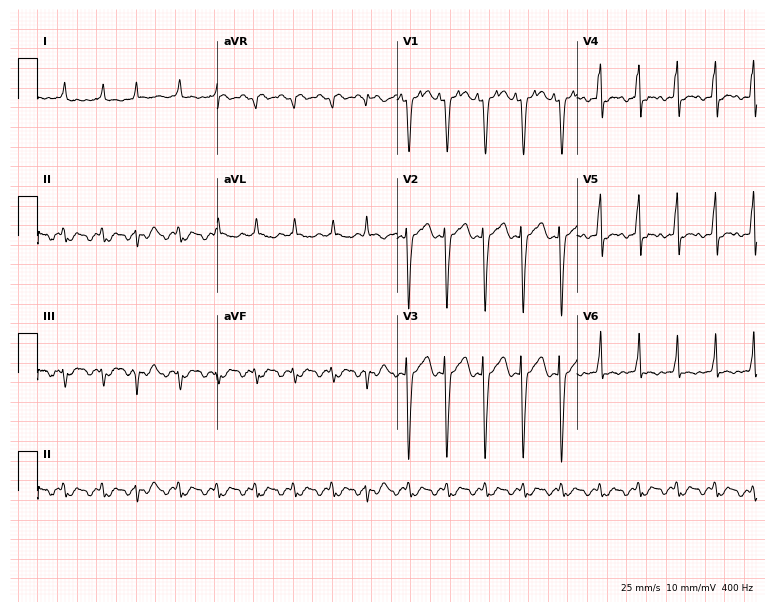
ECG (7.3-second recording at 400 Hz) — a 75-year-old male patient. Screened for six findings — first-degree AV block, right bundle branch block, left bundle branch block, sinus bradycardia, atrial fibrillation, sinus tachycardia — none is recorded. Findings outside these six are not listed.